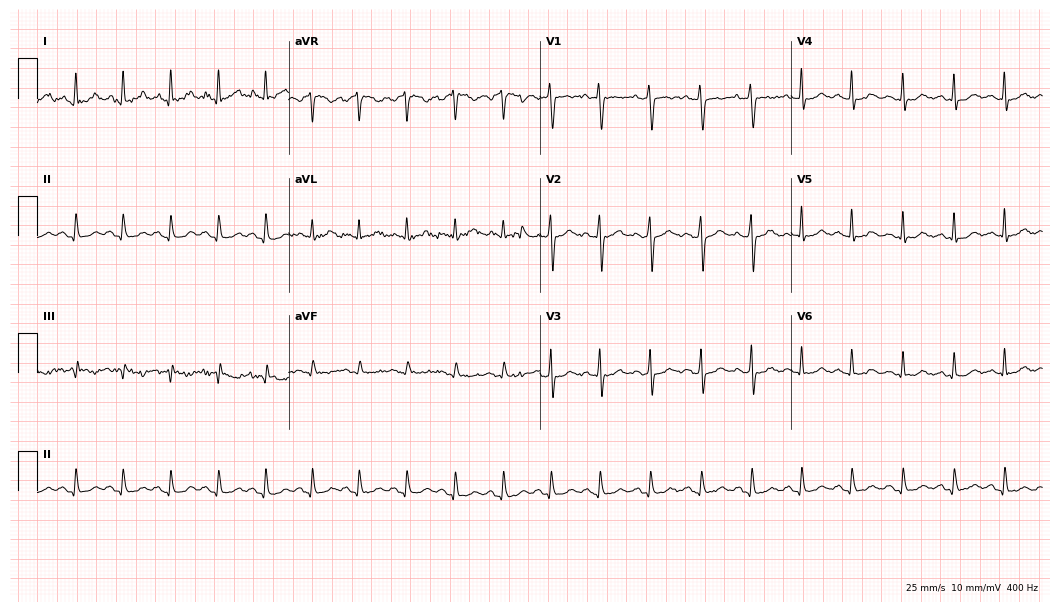
Resting 12-lead electrocardiogram. Patient: a woman, 28 years old. The tracing shows sinus tachycardia (a sinus rate of 100 beats per minute or more).